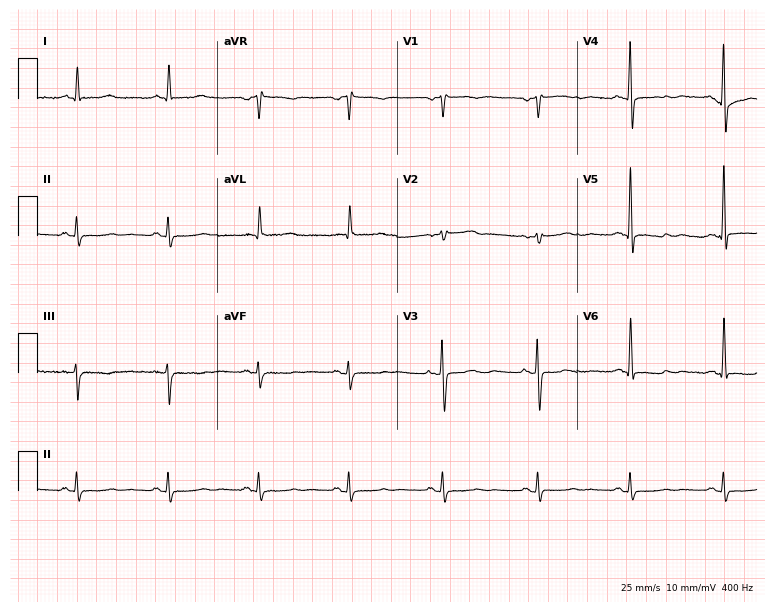
12-lead ECG from a 66-year-old woman (7.3-second recording at 400 Hz). No first-degree AV block, right bundle branch block, left bundle branch block, sinus bradycardia, atrial fibrillation or sinus tachycardia recorded for this tracing.